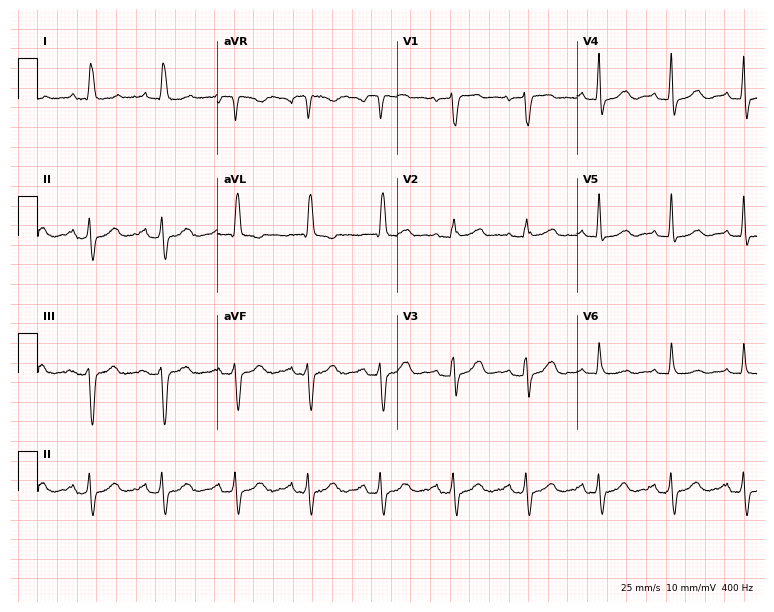
Electrocardiogram, a female, 83 years old. Of the six screened findings (first-degree AV block, right bundle branch block (RBBB), left bundle branch block (LBBB), sinus bradycardia, atrial fibrillation (AF), sinus tachycardia), none is recorded.